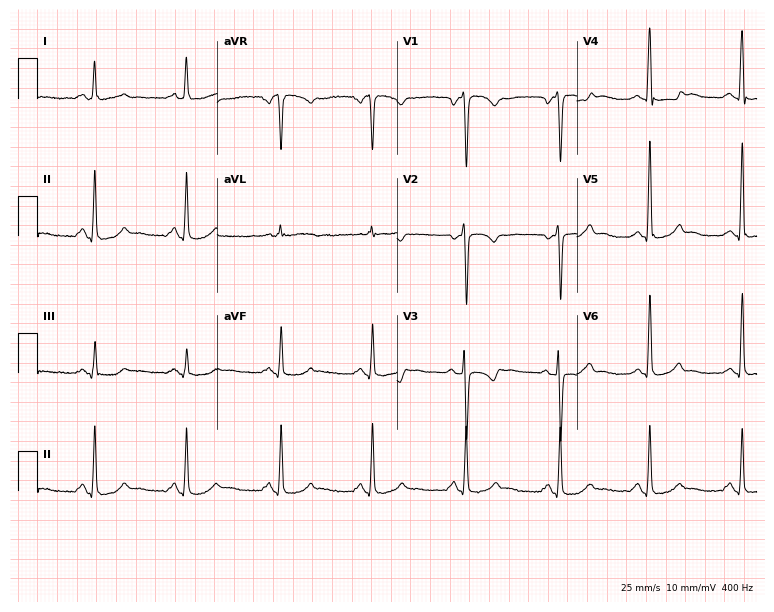
ECG — a female, 54 years old. Screened for six findings — first-degree AV block, right bundle branch block (RBBB), left bundle branch block (LBBB), sinus bradycardia, atrial fibrillation (AF), sinus tachycardia — none is recorded. Other findings, if any, are not listed.